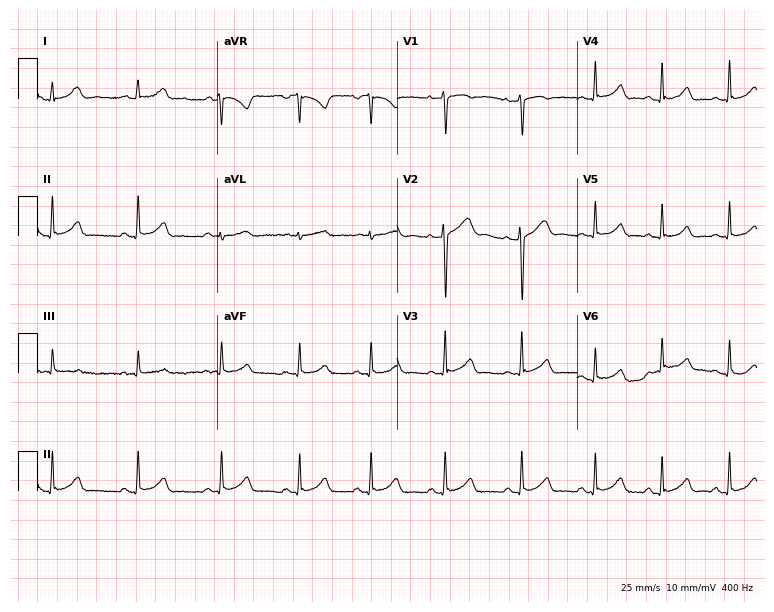
Resting 12-lead electrocardiogram. Patient: a 19-year-old female. Read as a normal ECG.